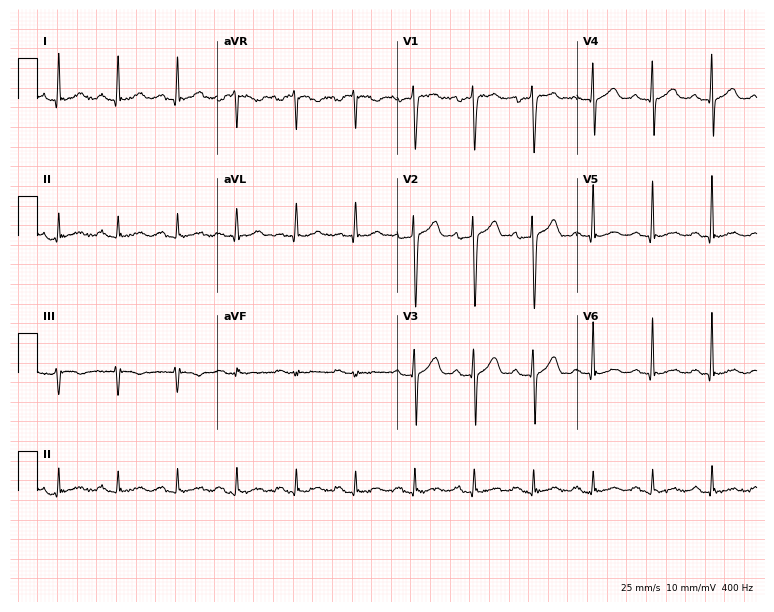
Electrocardiogram (7.3-second recording at 400 Hz), a 52-year-old male. Of the six screened findings (first-degree AV block, right bundle branch block, left bundle branch block, sinus bradycardia, atrial fibrillation, sinus tachycardia), none is recorded. Findings outside these six are not listed.